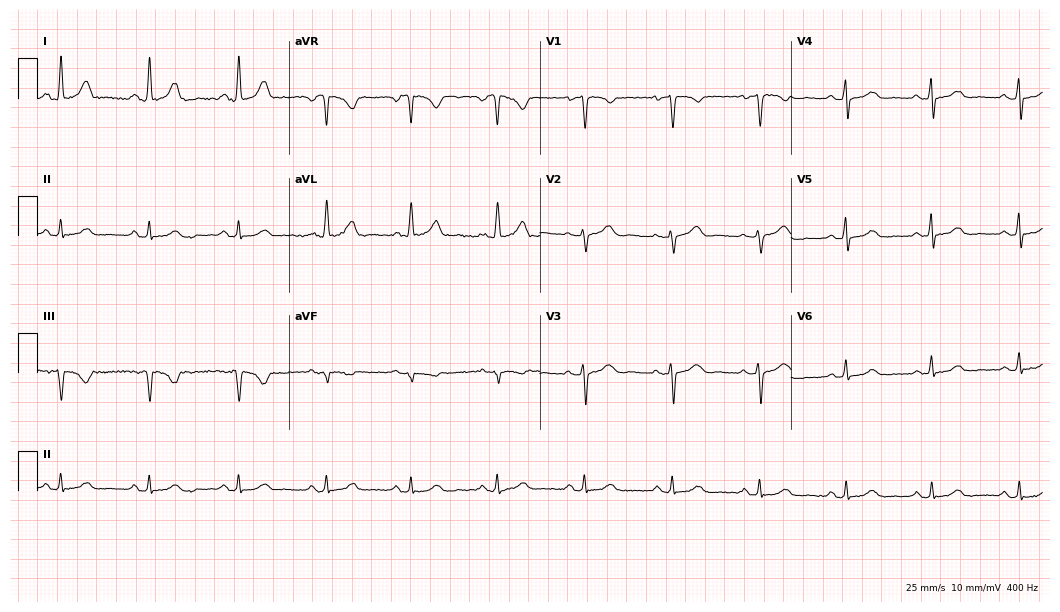
ECG — a 53-year-old woman. Labelled as a normal ECG.